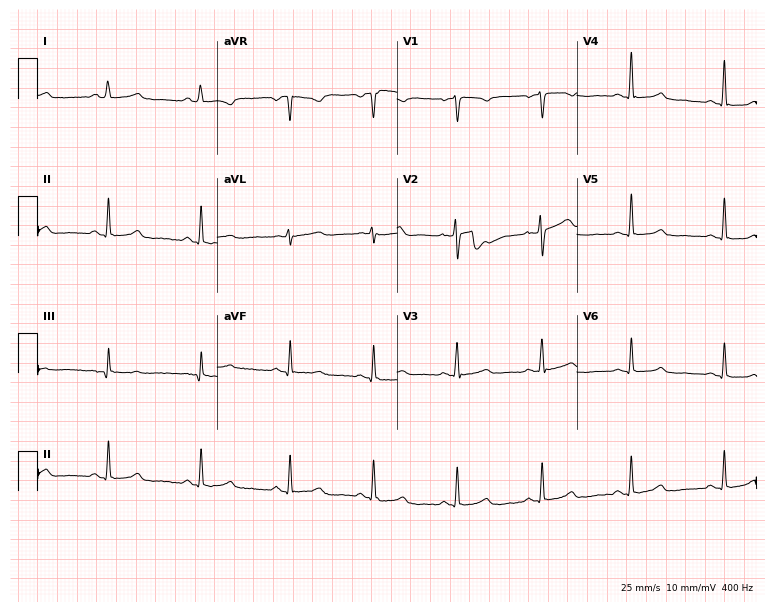
12-lead ECG from a 33-year-old female patient (7.3-second recording at 400 Hz). No first-degree AV block, right bundle branch block (RBBB), left bundle branch block (LBBB), sinus bradycardia, atrial fibrillation (AF) or sinus tachycardia recorded for this tracing. Other findings, if any, are not listed.